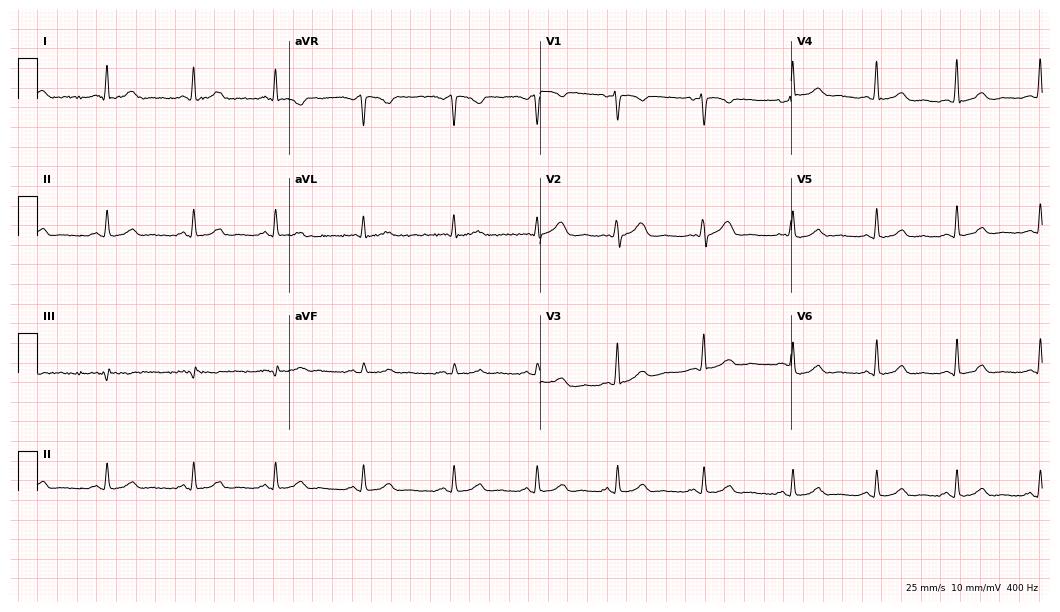
12-lead ECG from a female patient, 45 years old. Labelled as a normal ECG.